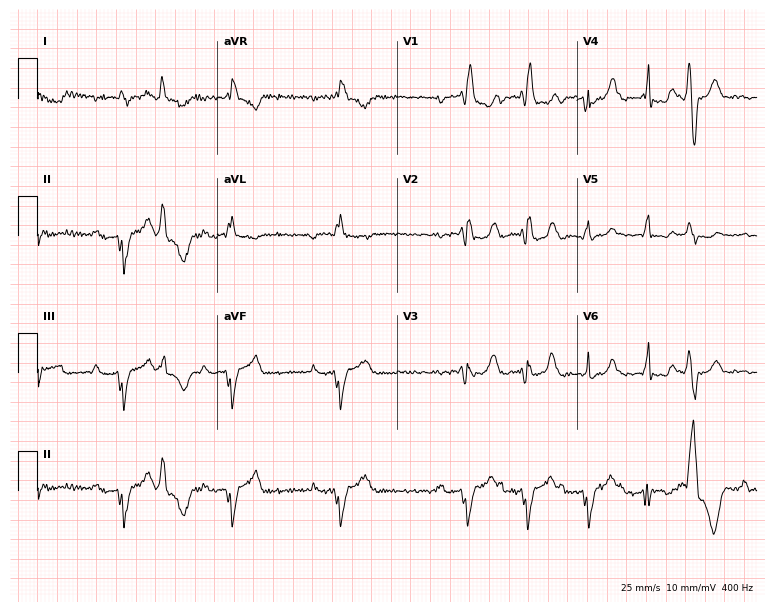
12-lead ECG from a 58-year-old man. Screened for six findings — first-degree AV block, right bundle branch block (RBBB), left bundle branch block (LBBB), sinus bradycardia, atrial fibrillation (AF), sinus tachycardia — none is recorded.